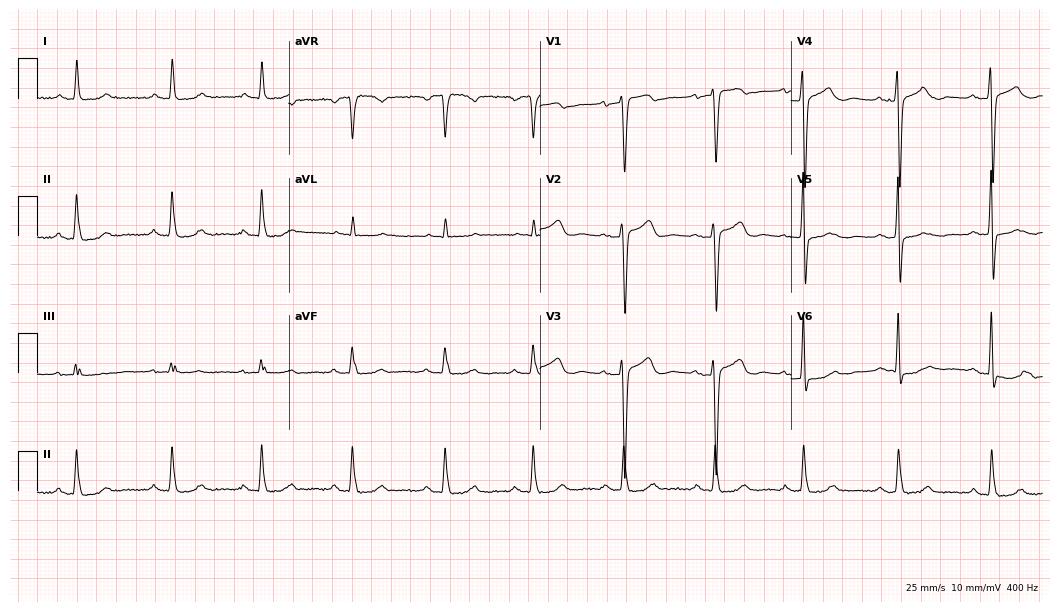
12-lead ECG from a woman, 47 years old. Screened for six findings — first-degree AV block, right bundle branch block, left bundle branch block, sinus bradycardia, atrial fibrillation, sinus tachycardia — none is recorded. Findings outside these six are not listed.